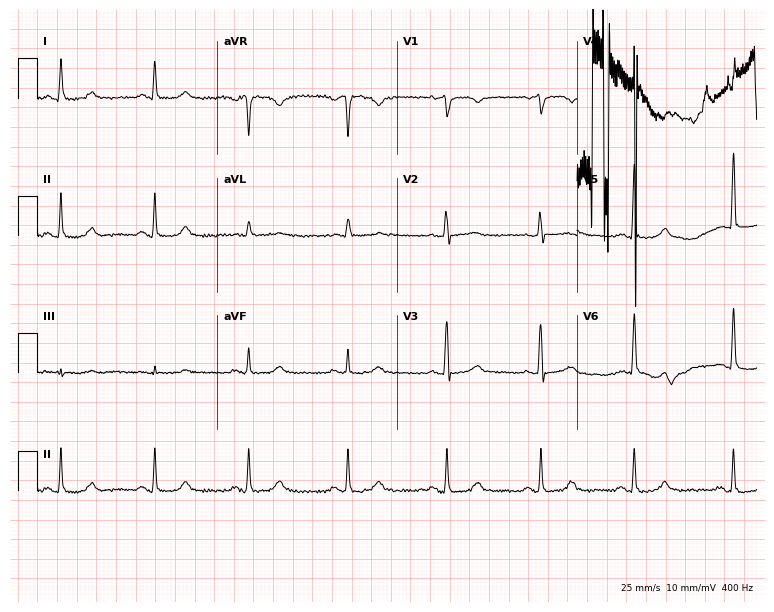
ECG — a 48-year-old woman. Labelled as a normal ECG.